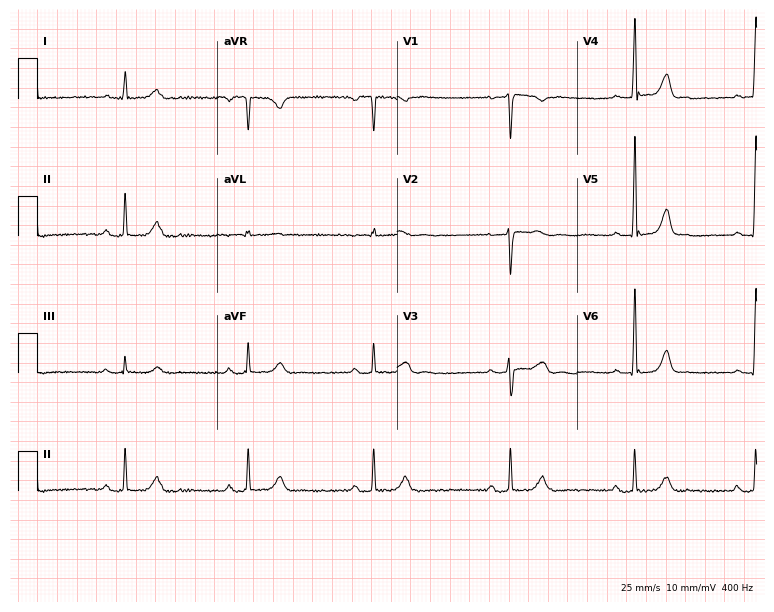
ECG (7.3-second recording at 400 Hz) — a 48-year-old woman. Findings include sinus bradycardia (a sinus rate of 50 beats per minute or less).